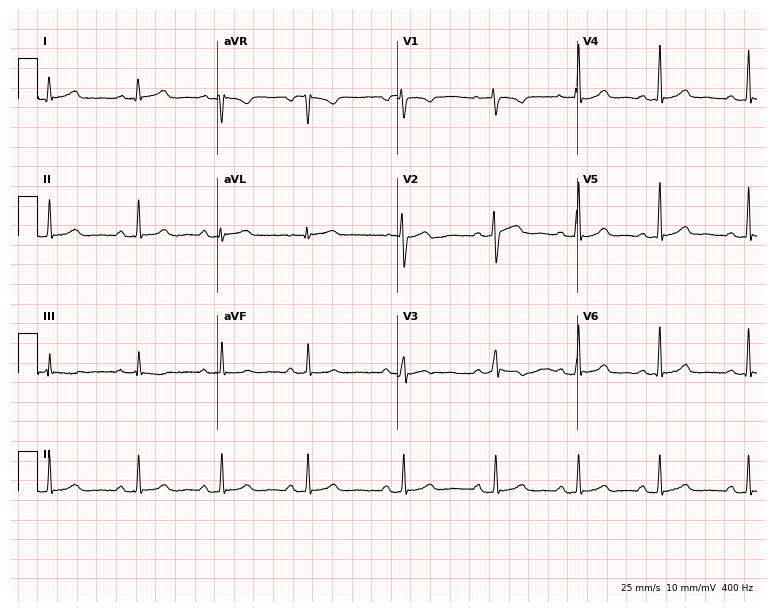
12-lead ECG from a 28-year-old female patient. No first-degree AV block, right bundle branch block, left bundle branch block, sinus bradycardia, atrial fibrillation or sinus tachycardia recorded for this tracing.